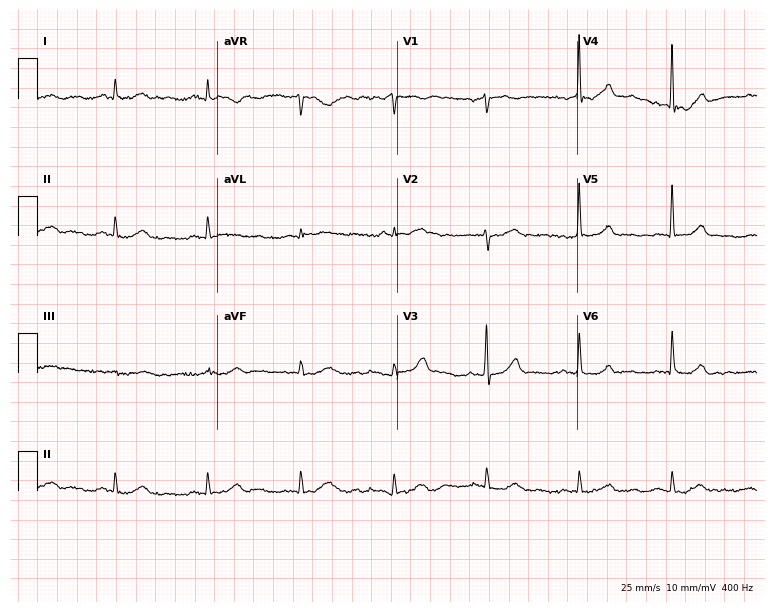
ECG (7.3-second recording at 400 Hz) — an 81-year-old male. Screened for six findings — first-degree AV block, right bundle branch block (RBBB), left bundle branch block (LBBB), sinus bradycardia, atrial fibrillation (AF), sinus tachycardia — none is recorded. Other findings, if any, are not listed.